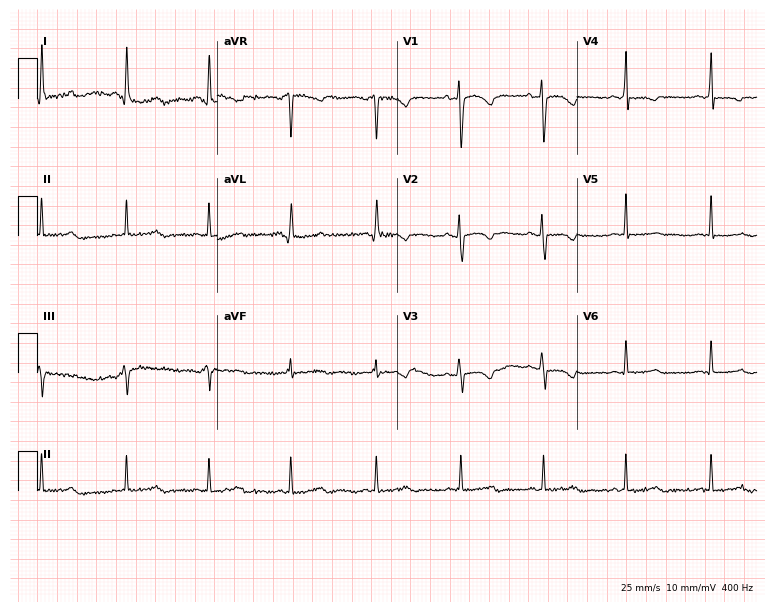
Standard 12-lead ECG recorded from a 43-year-old female. None of these six findings is recorded: first-degree AV block, right bundle branch block, left bundle branch block, sinus bradycardia, atrial fibrillation, sinus tachycardia.